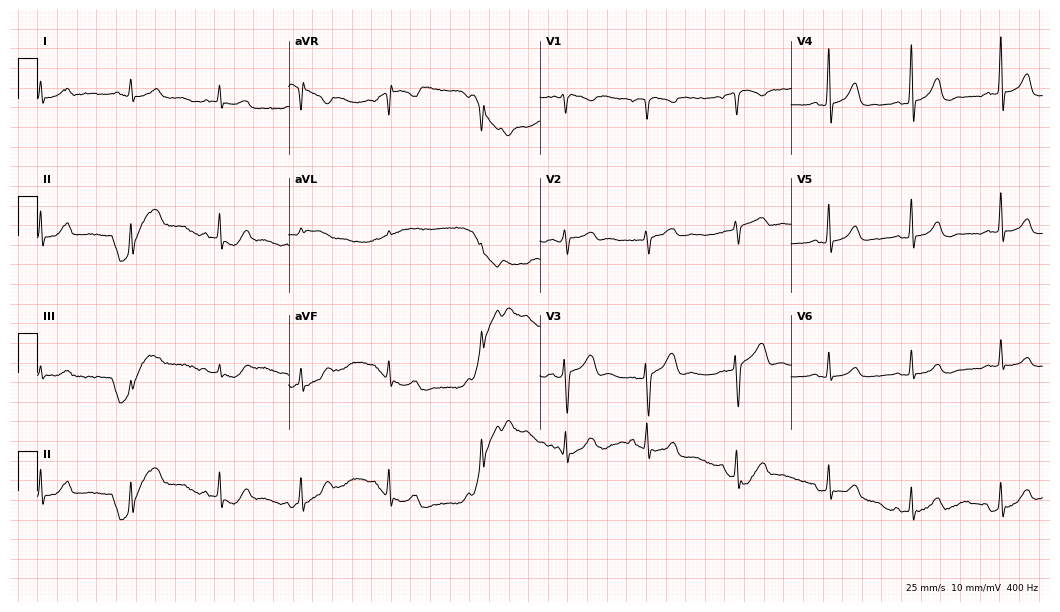
ECG (10.2-second recording at 400 Hz) — a 20-year-old female. Screened for six findings — first-degree AV block, right bundle branch block, left bundle branch block, sinus bradycardia, atrial fibrillation, sinus tachycardia — none is recorded.